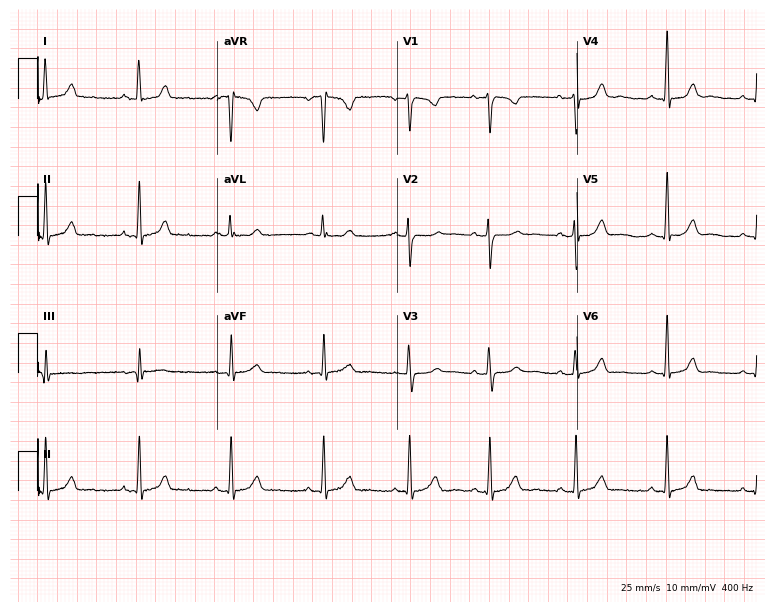
Standard 12-lead ECG recorded from a 37-year-old female patient. Read as a normal ECG.